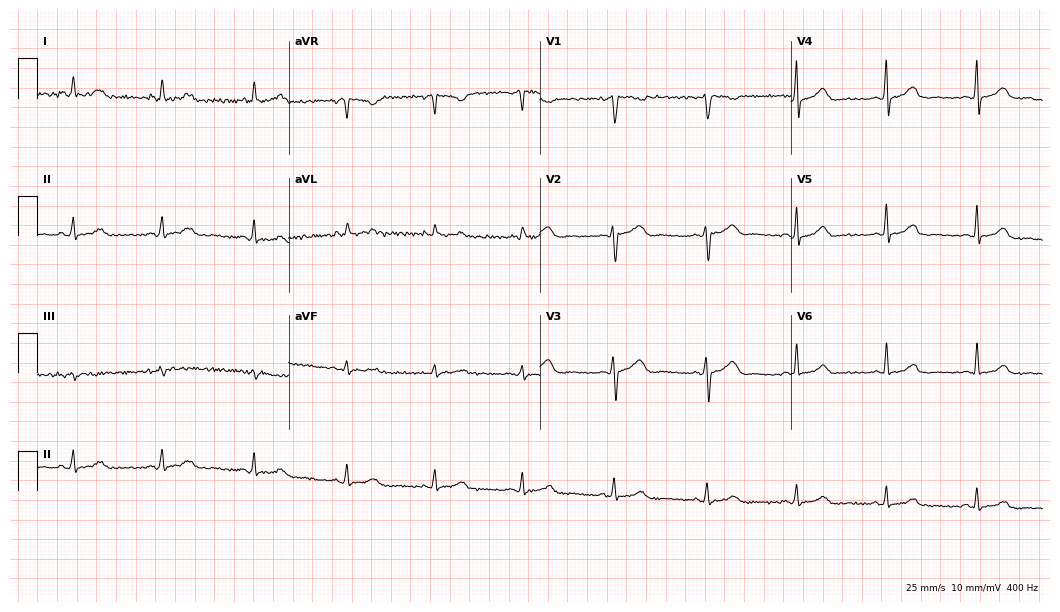
12-lead ECG (10.2-second recording at 400 Hz) from a female, 33 years old. Screened for six findings — first-degree AV block, right bundle branch block (RBBB), left bundle branch block (LBBB), sinus bradycardia, atrial fibrillation (AF), sinus tachycardia — none is recorded. Only these six findings were labelled.